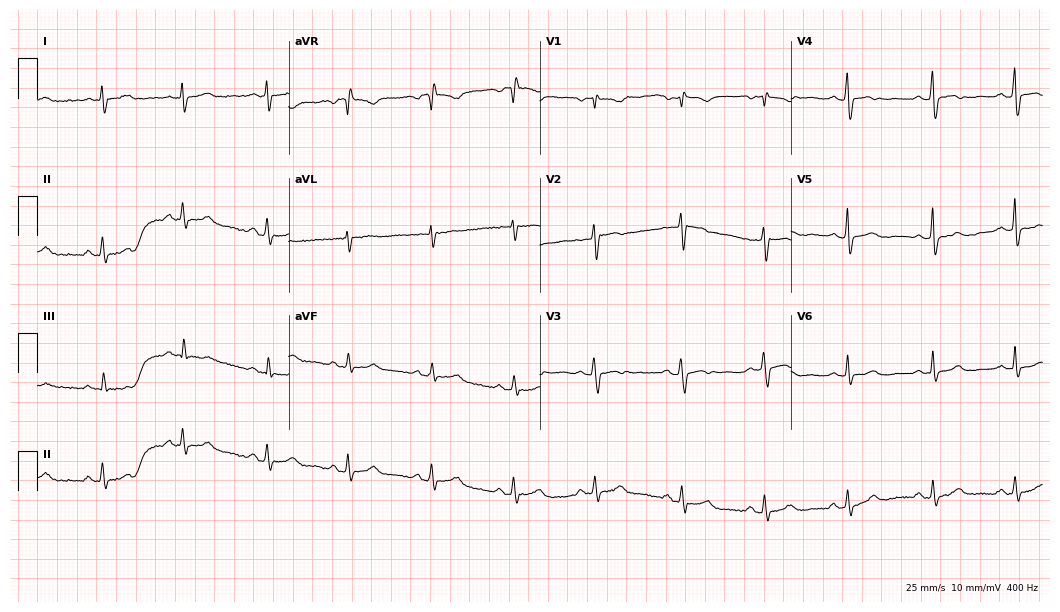
Electrocardiogram, a 43-year-old woman. Of the six screened findings (first-degree AV block, right bundle branch block (RBBB), left bundle branch block (LBBB), sinus bradycardia, atrial fibrillation (AF), sinus tachycardia), none is recorded. Other findings, if any, are not listed.